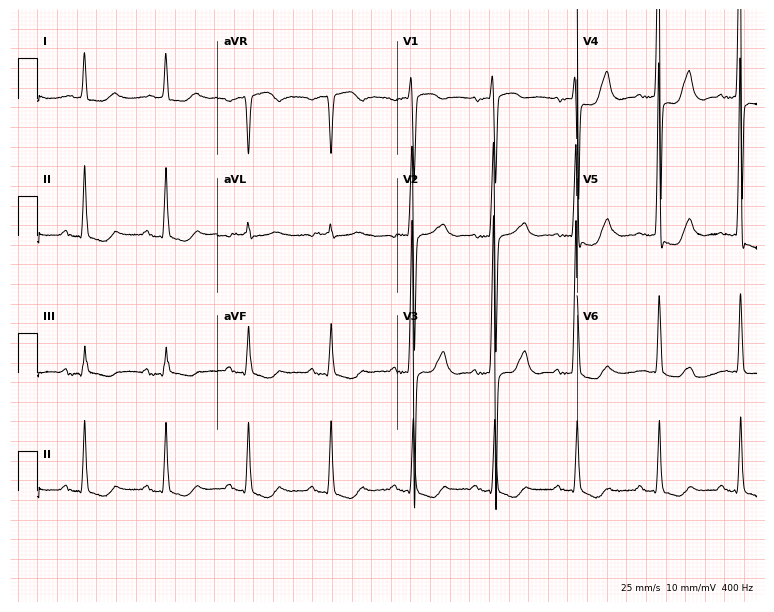
ECG (7.3-second recording at 400 Hz) — a female patient, 75 years old. Screened for six findings — first-degree AV block, right bundle branch block, left bundle branch block, sinus bradycardia, atrial fibrillation, sinus tachycardia — none is recorded. Only these six findings were labelled.